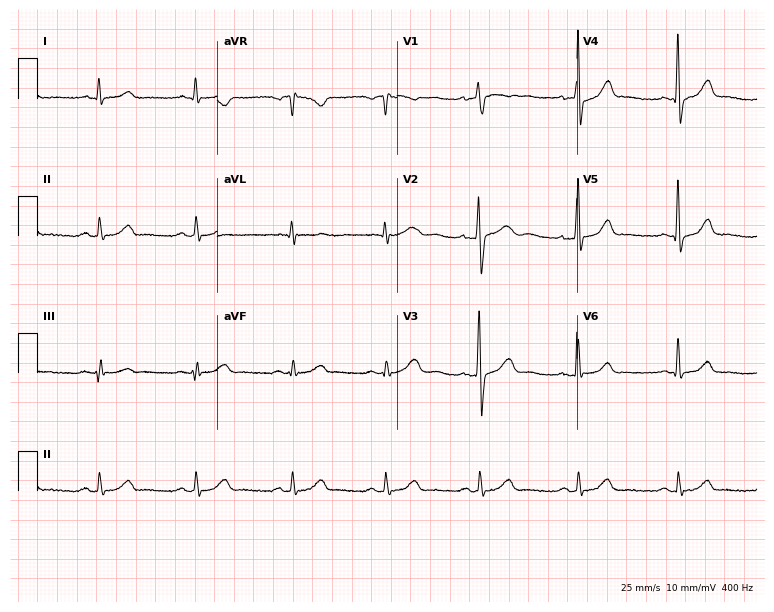
12-lead ECG from a 46-year-old male (7.3-second recording at 400 Hz). Recorded interpretation: within normal limits.